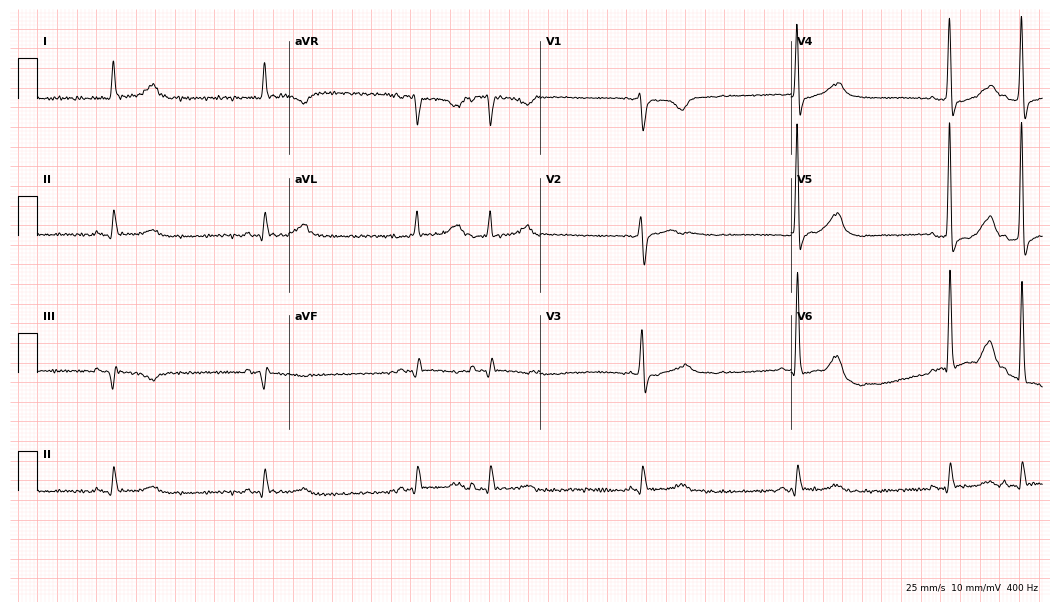
12-lead ECG from an 85-year-old male. No first-degree AV block, right bundle branch block, left bundle branch block, sinus bradycardia, atrial fibrillation or sinus tachycardia recorded for this tracing.